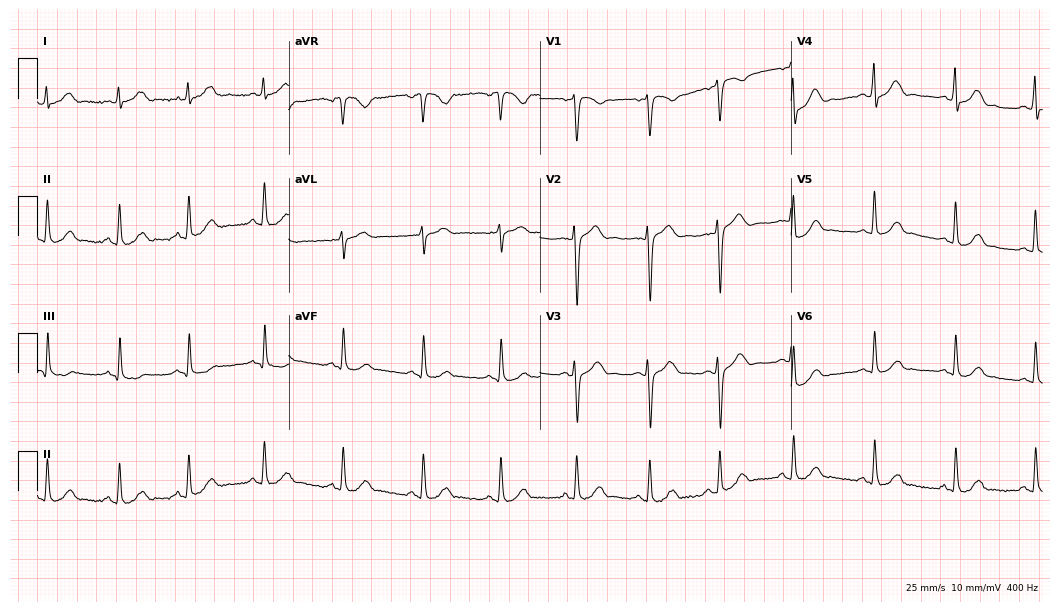
12-lead ECG from a man, 32 years old. Labelled as a normal ECG.